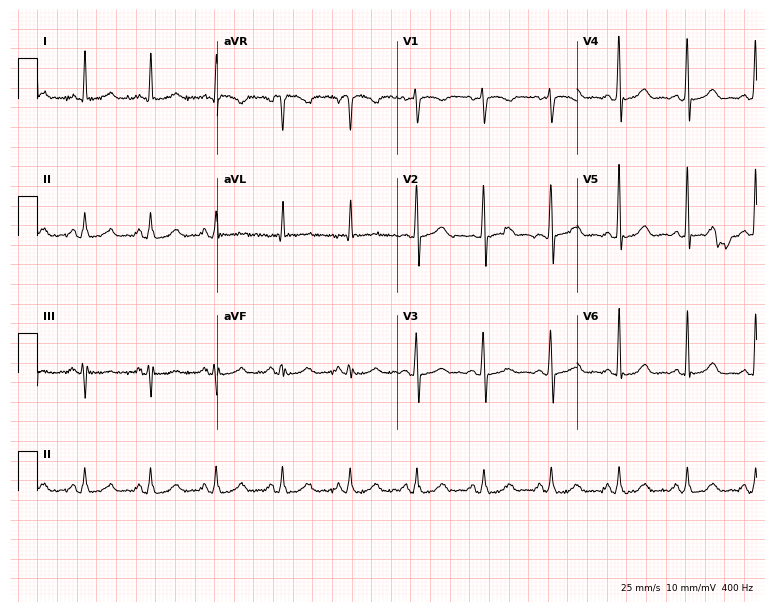
Standard 12-lead ECG recorded from a woman, 58 years old (7.3-second recording at 400 Hz). Read as a normal ECG.